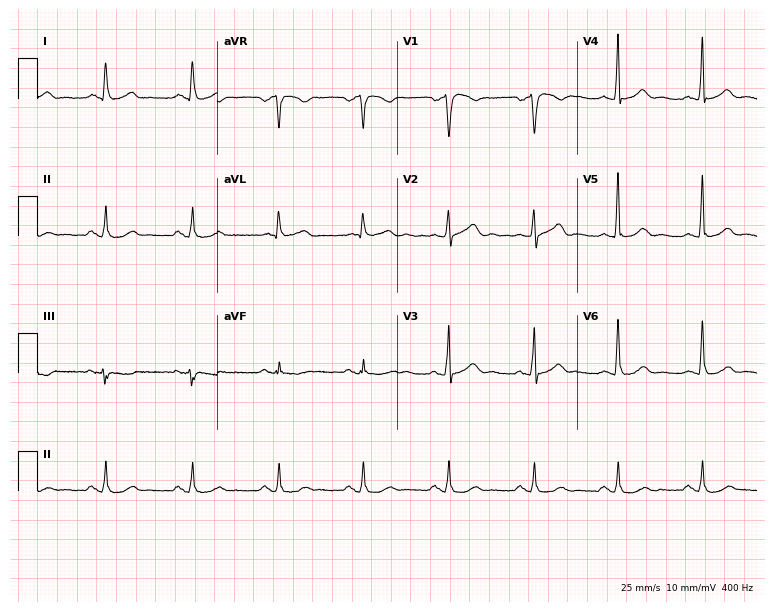
12-lead ECG from a male, 47 years old (7.3-second recording at 400 Hz). Recorded interpretation: within normal limits.